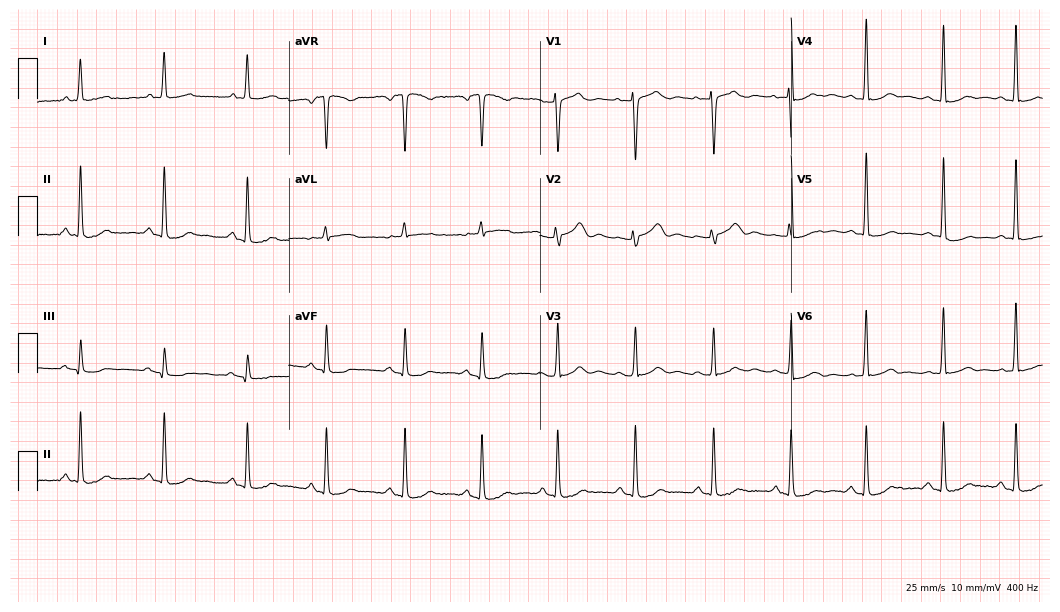
12-lead ECG (10.2-second recording at 400 Hz) from a female patient, 62 years old. Screened for six findings — first-degree AV block, right bundle branch block (RBBB), left bundle branch block (LBBB), sinus bradycardia, atrial fibrillation (AF), sinus tachycardia — none is recorded. Findings outside these six are not listed.